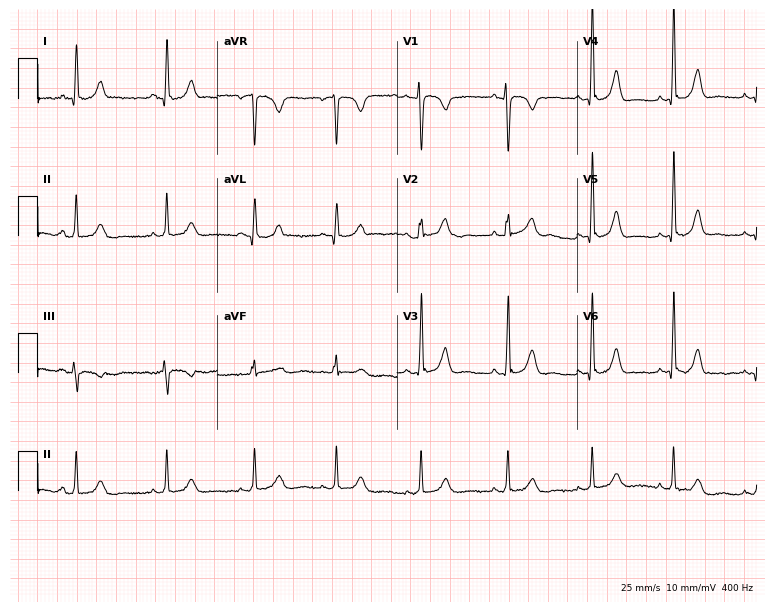
12-lead ECG from a woman, 46 years old. Labelled as a normal ECG.